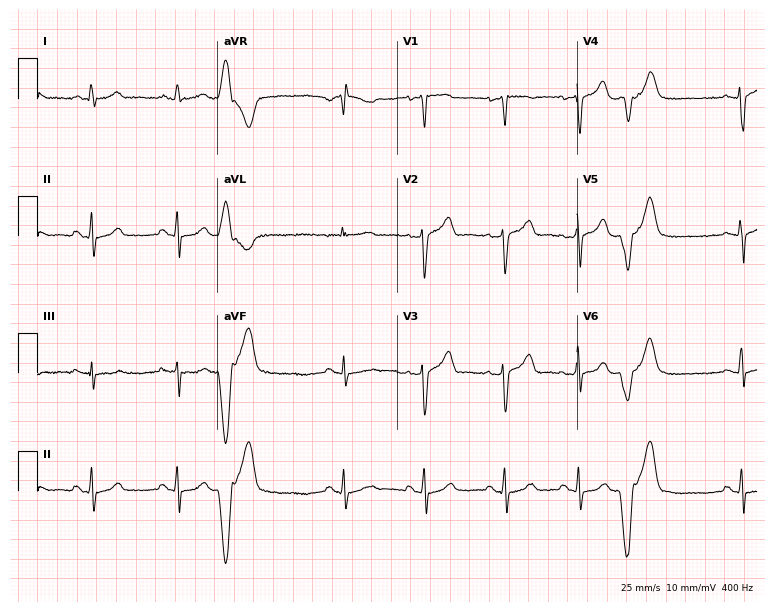
12-lead ECG from a 43-year-old female patient (7.3-second recording at 400 Hz). No first-degree AV block, right bundle branch block, left bundle branch block, sinus bradycardia, atrial fibrillation or sinus tachycardia recorded for this tracing.